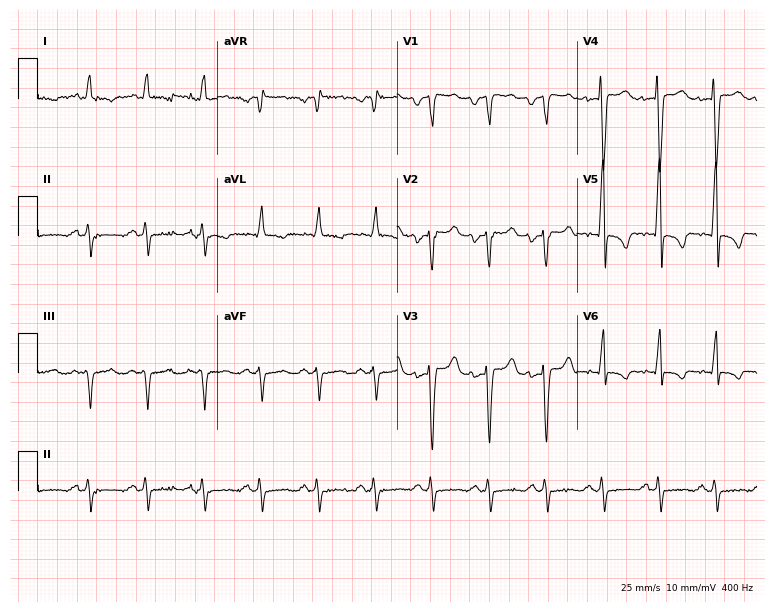
Resting 12-lead electrocardiogram. Patient: a man, 41 years old. The tracing shows sinus tachycardia (a sinus rate of 100 beats per minute or more).